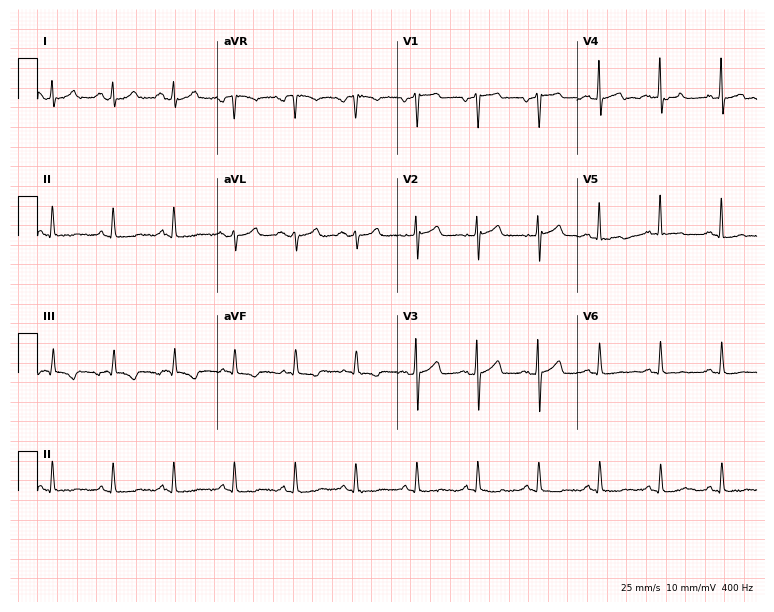
Standard 12-lead ECG recorded from a 59-year-old man. None of these six findings is recorded: first-degree AV block, right bundle branch block (RBBB), left bundle branch block (LBBB), sinus bradycardia, atrial fibrillation (AF), sinus tachycardia. Other findings, if any, are not listed.